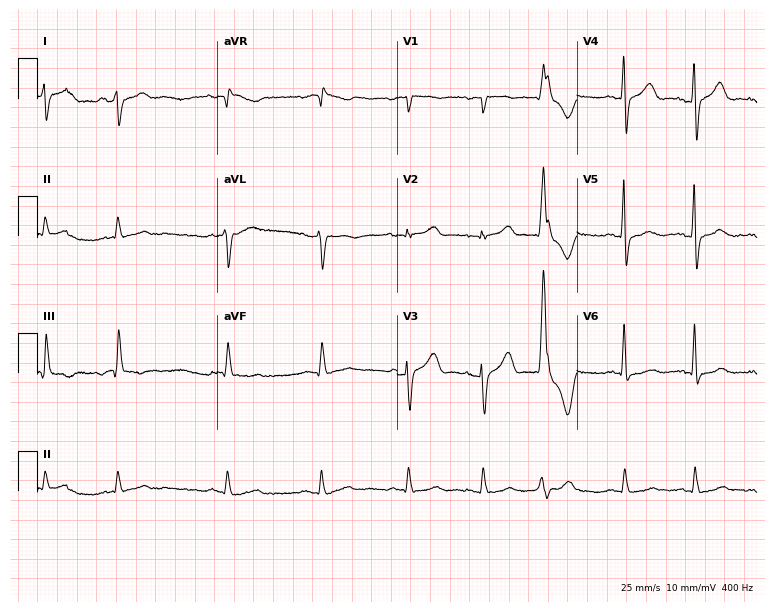
ECG (7.3-second recording at 400 Hz) — an 81-year-old man. Screened for six findings — first-degree AV block, right bundle branch block (RBBB), left bundle branch block (LBBB), sinus bradycardia, atrial fibrillation (AF), sinus tachycardia — none is recorded.